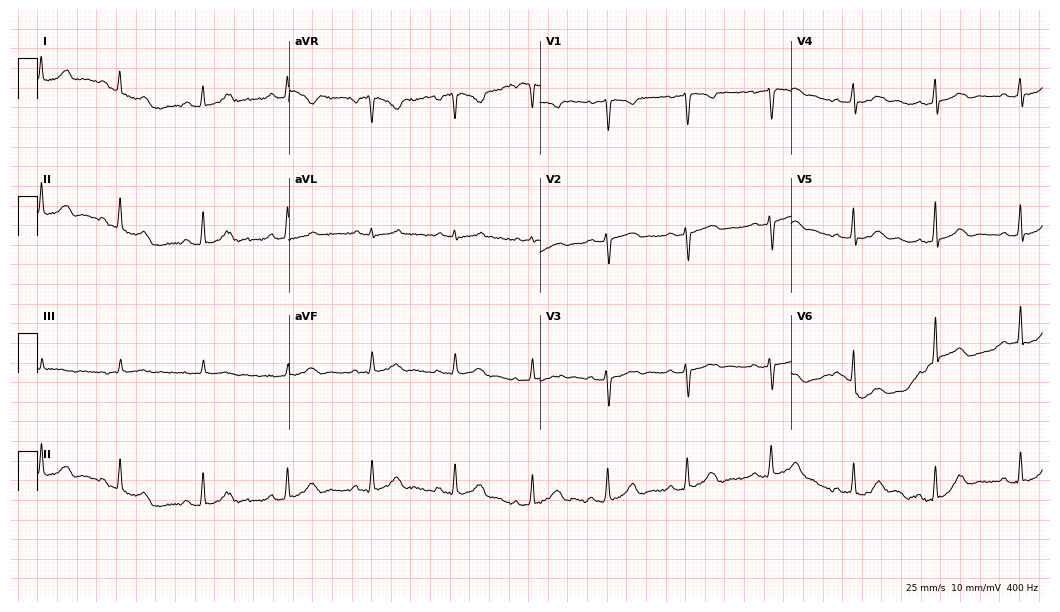
Standard 12-lead ECG recorded from a female patient, 20 years old (10.2-second recording at 400 Hz). None of these six findings is recorded: first-degree AV block, right bundle branch block (RBBB), left bundle branch block (LBBB), sinus bradycardia, atrial fibrillation (AF), sinus tachycardia. Only these six findings were labelled.